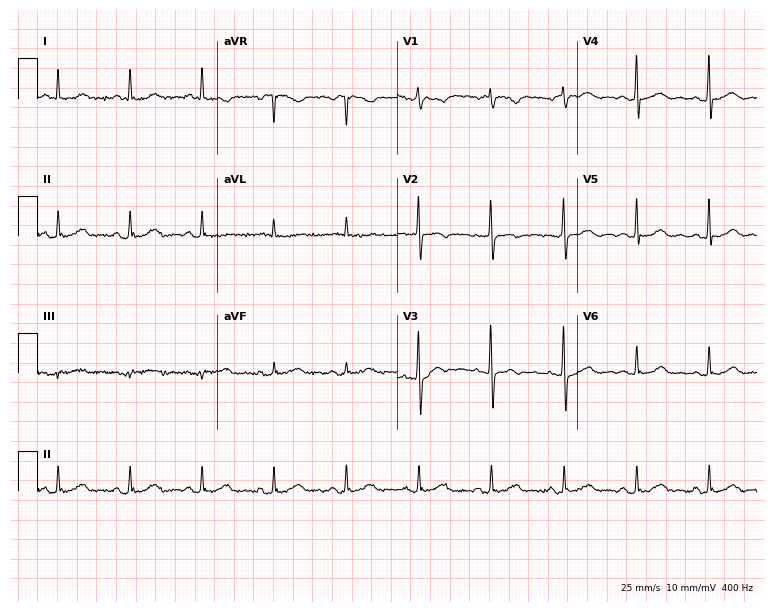
12-lead ECG from a 59-year-old female patient. No first-degree AV block, right bundle branch block, left bundle branch block, sinus bradycardia, atrial fibrillation or sinus tachycardia recorded for this tracing.